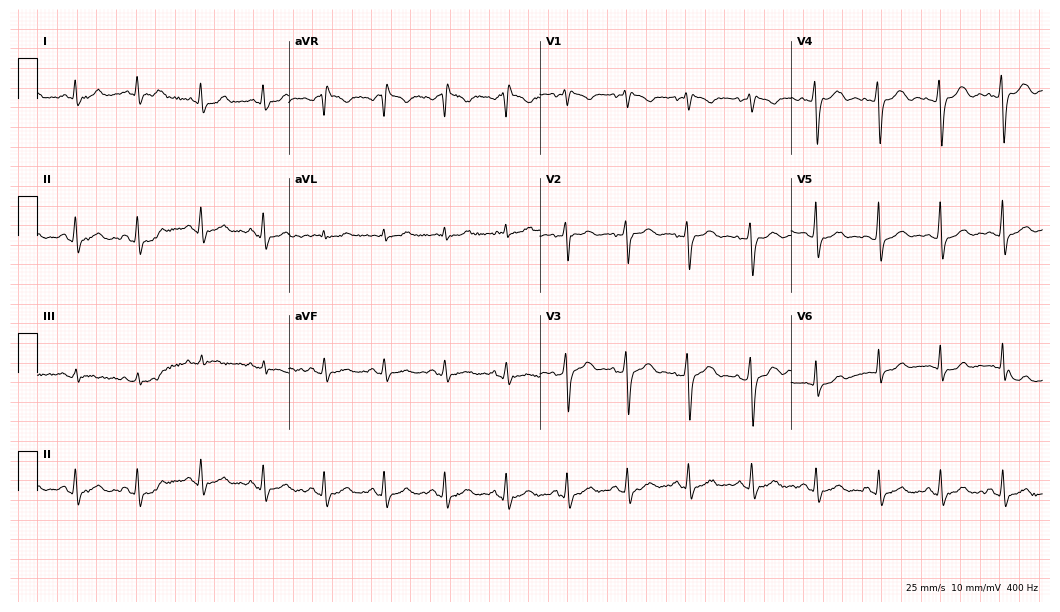
Resting 12-lead electrocardiogram (10.2-second recording at 400 Hz). Patient: a 25-year-old woman. None of these six findings is recorded: first-degree AV block, right bundle branch block, left bundle branch block, sinus bradycardia, atrial fibrillation, sinus tachycardia. Only these six findings were labelled.